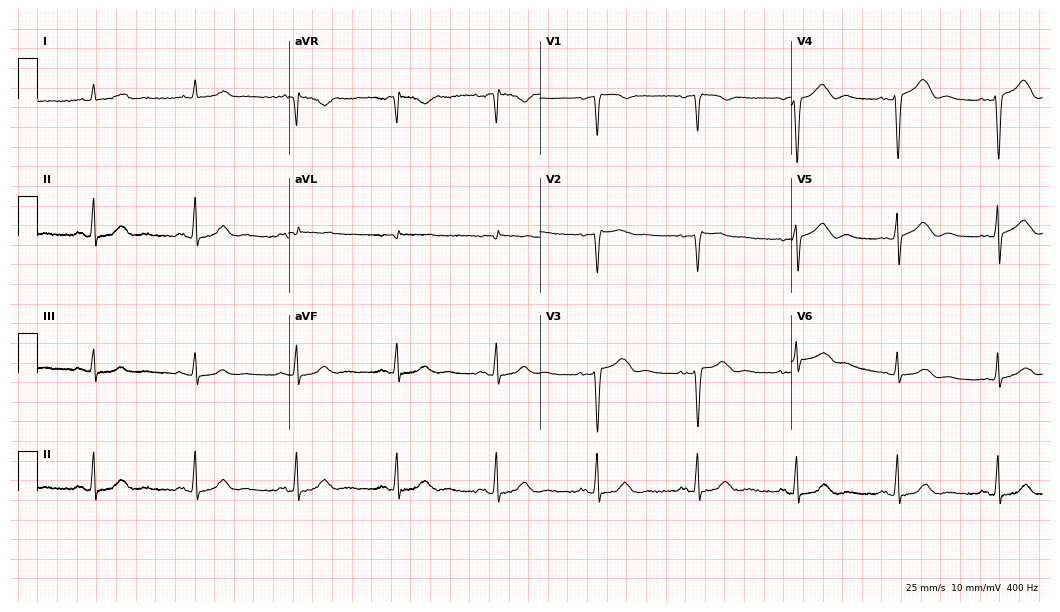
Resting 12-lead electrocardiogram (10.2-second recording at 400 Hz). Patient: a woman, 82 years old. None of these six findings is recorded: first-degree AV block, right bundle branch block, left bundle branch block, sinus bradycardia, atrial fibrillation, sinus tachycardia.